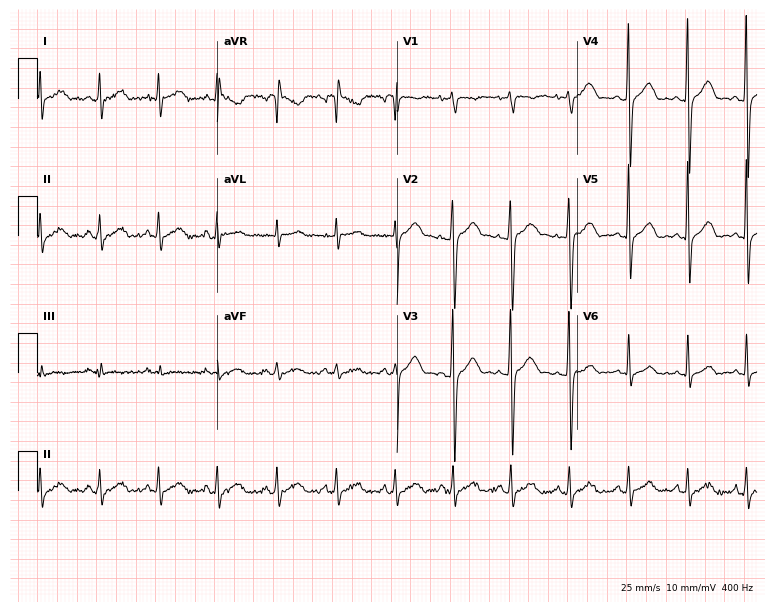
12-lead ECG from a 29-year-old man. Findings include sinus tachycardia (a sinus rate of 100 beats per minute or more).